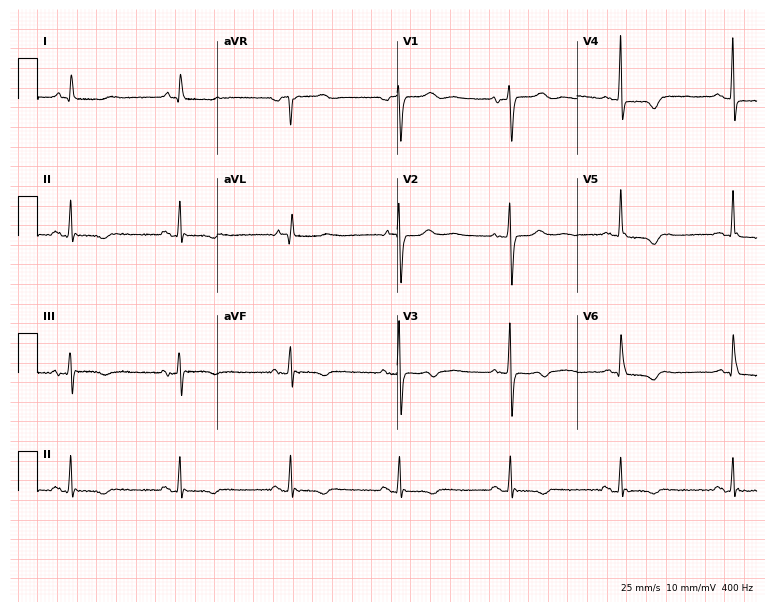
12-lead ECG from a woman, 63 years old (7.3-second recording at 400 Hz). No first-degree AV block, right bundle branch block, left bundle branch block, sinus bradycardia, atrial fibrillation or sinus tachycardia recorded for this tracing. Only these six findings were labelled.